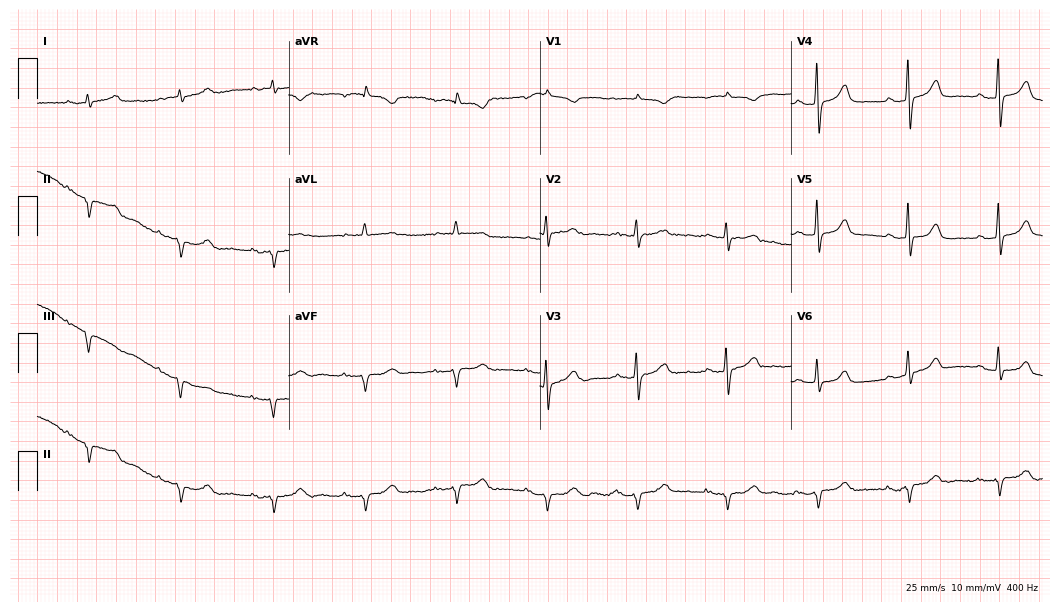
12-lead ECG from a man, 69 years old. Screened for six findings — first-degree AV block, right bundle branch block, left bundle branch block, sinus bradycardia, atrial fibrillation, sinus tachycardia — none is recorded. Other findings, if any, are not listed.